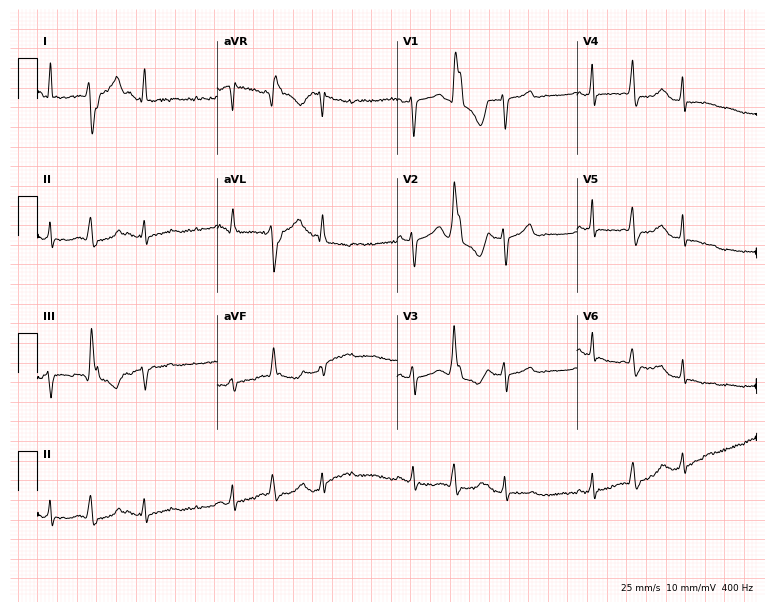
Electrocardiogram, a female, 50 years old. Of the six screened findings (first-degree AV block, right bundle branch block (RBBB), left bundle branch block (LBBB), sinus bradycardia, atrial fibrillation (AF), sinus tachycardia), none is recorded.